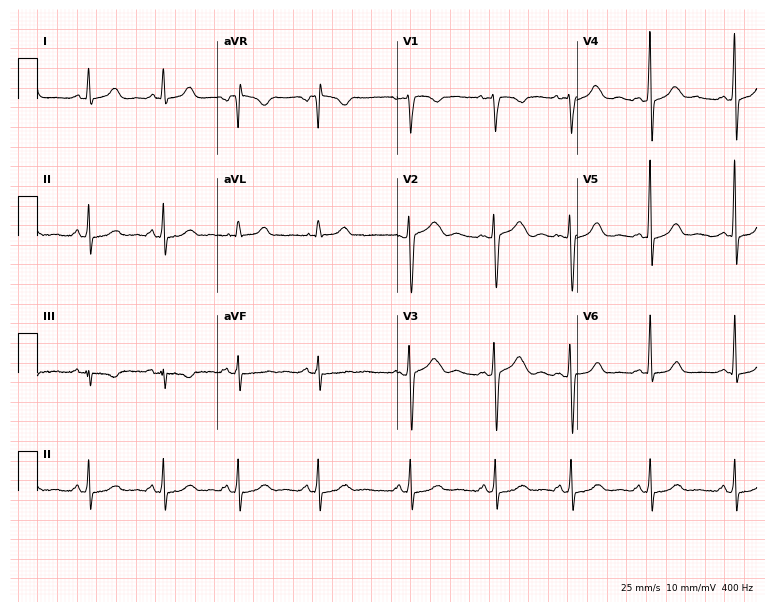
Resting 12-lead electrocardiogram (7.3-second recording at 400 Hz). Patient: a female, 20 years old. Read as a normal ECG.